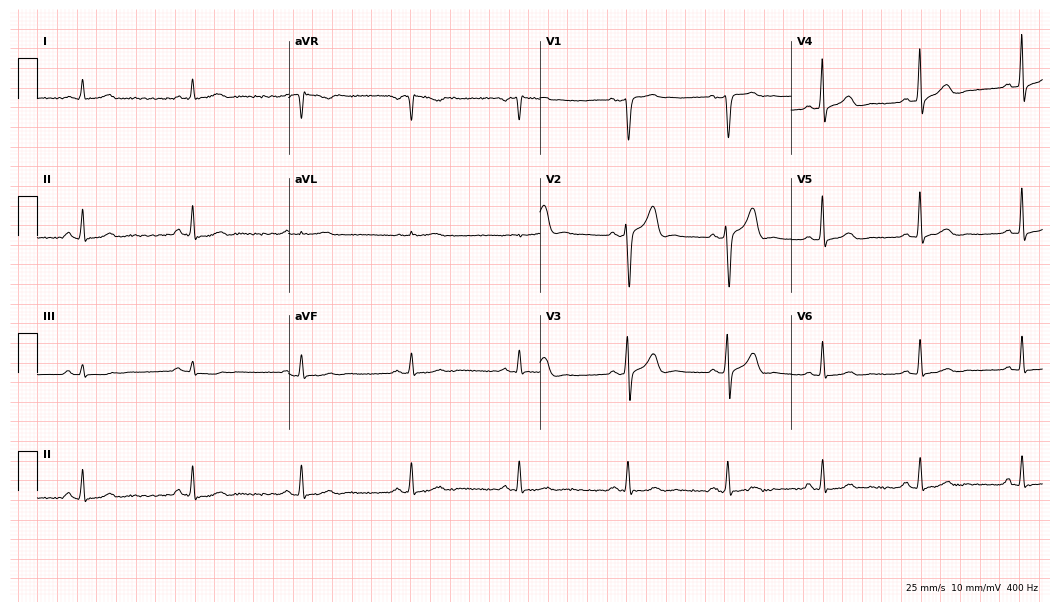
12-lead ECG from a male, 56 years old. No first-degree AV block, right bundle branch block, left bundle branch block, sinus bradycardia, atrial fibrillation or sinus tachycardia recorded for this tracing.